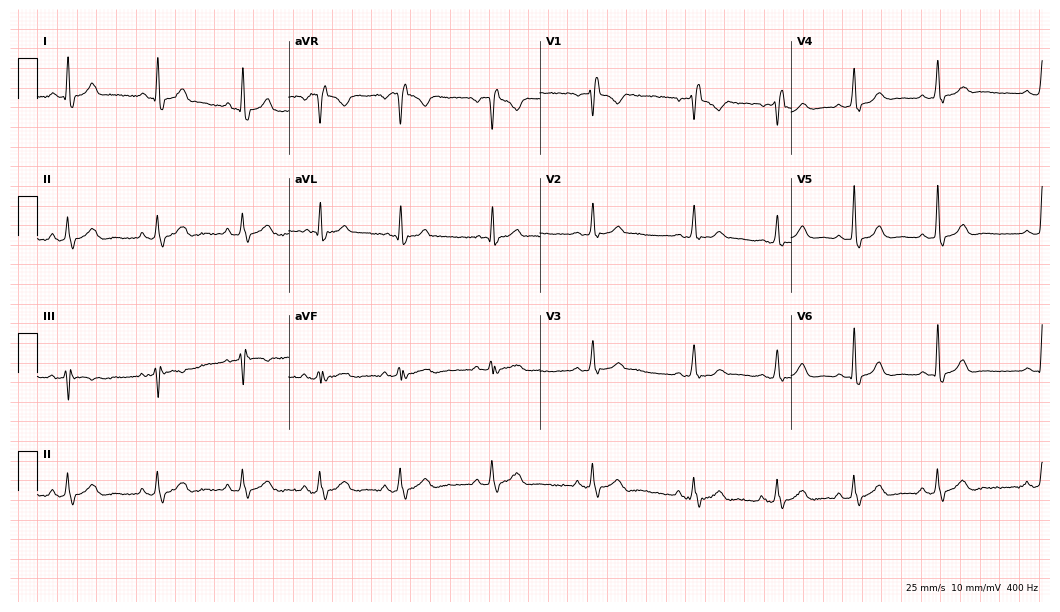
12-lead ECG from a female, 41 years old (10.2-second recording at 400 Hz). Shows right bundle branch block.